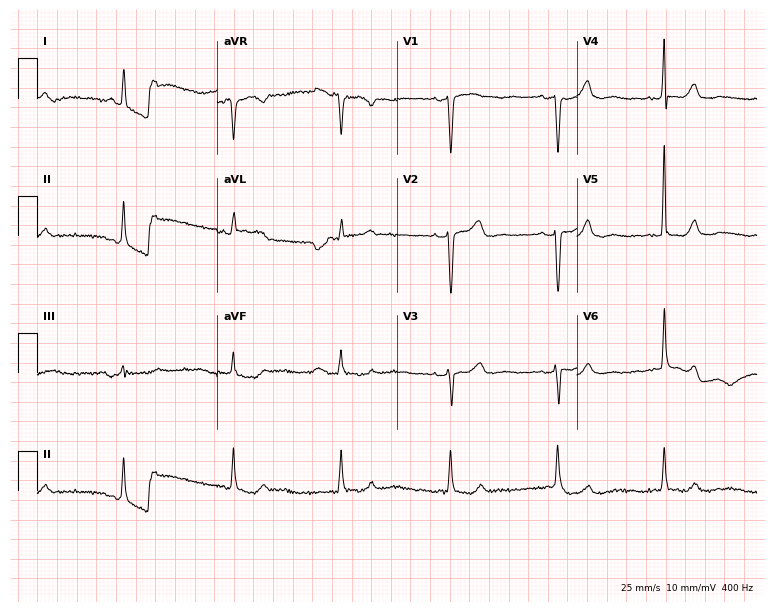
ECG (7.3-second recording at 400 Hz) — a female patient, 73 years old. Labelled as a normal ECG.